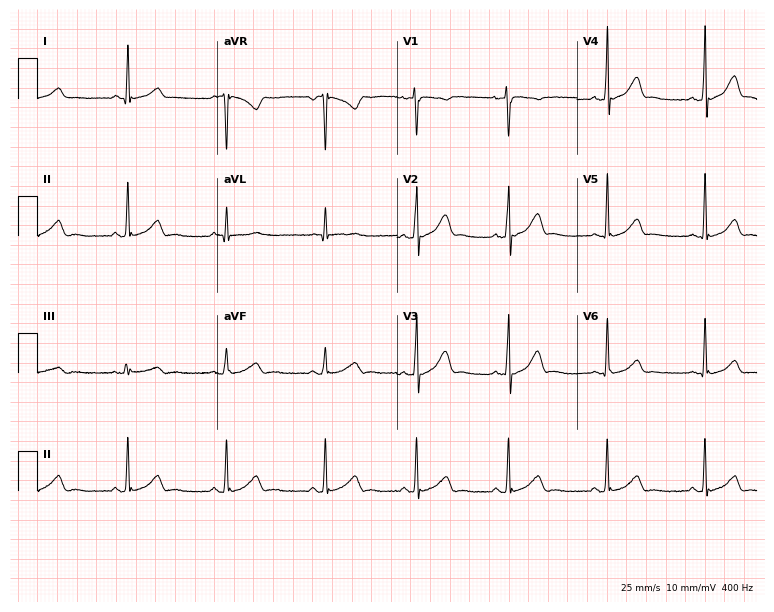
12-lead ECG from a female patient, 26 years old. No first-degree AV block, right bundle branch block (RBBB), left bundle branch block (LBBB), sinus bradycardia, atrial fibrillation (AF) or sinus tachycardia recorded for this tracing.